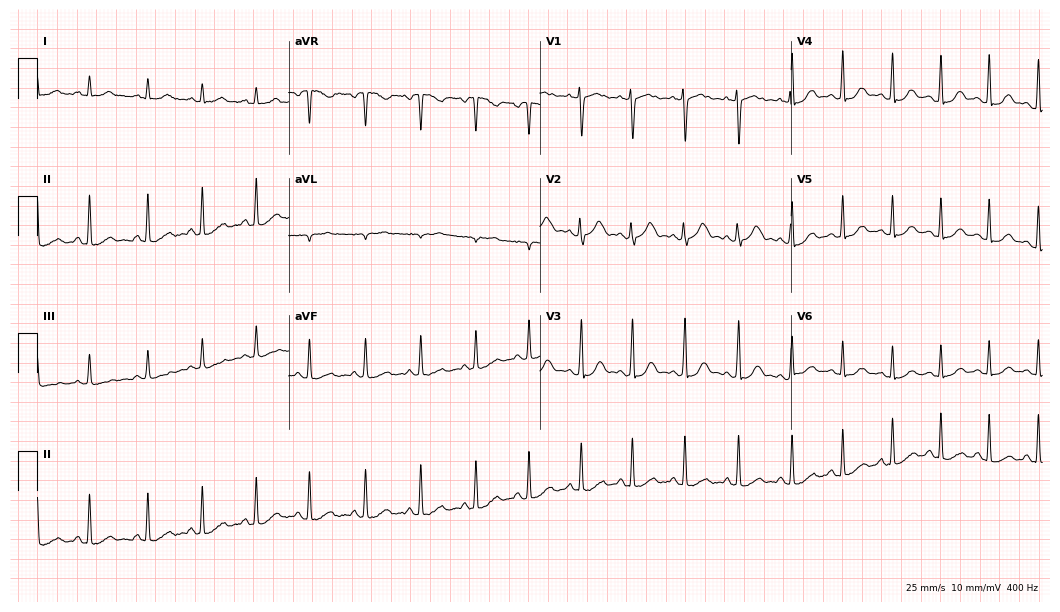
ECG — a 27-year-old female. Findings include sinus tachycardia (a sinus rate of 100 beats per minute or more).